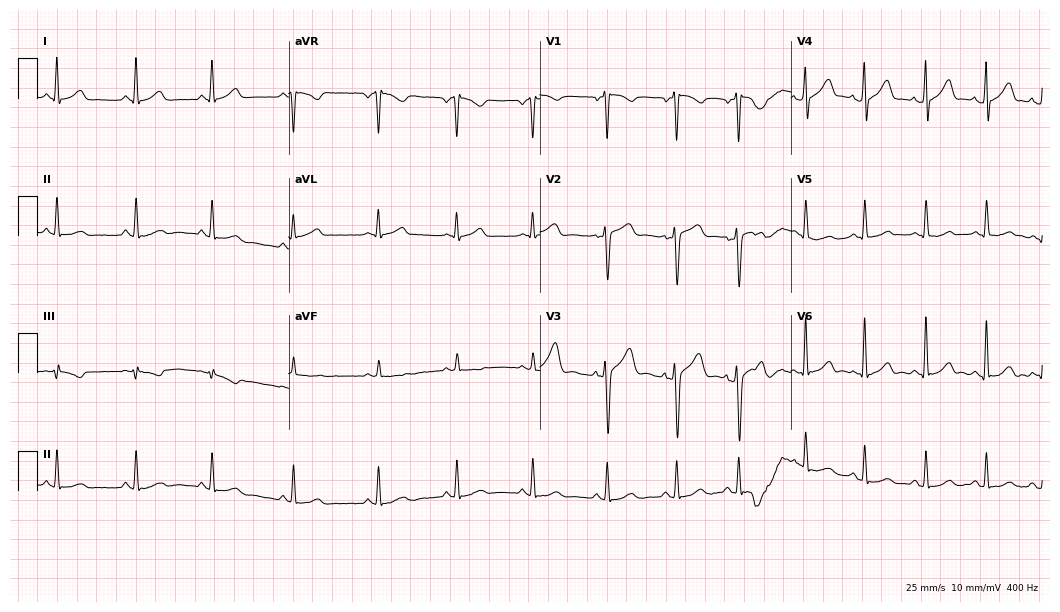
Standard 12-lead ECG recorded from a 39-year-old male. Read as a normal ECG.